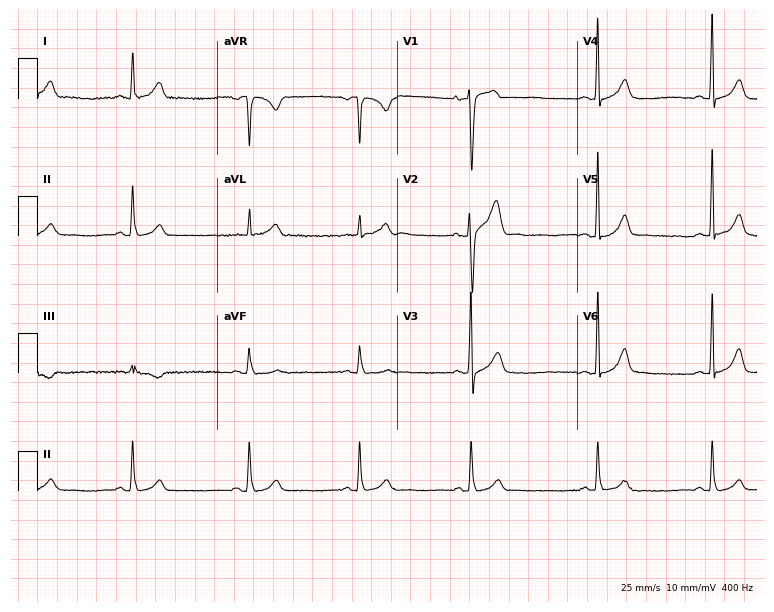
Electrocardiogram (7.3-second recording at 400 Hz), a man, 34 years old. Interpretation includes sinus bradycardia (a sinus rate of 50 beats per minute or less).